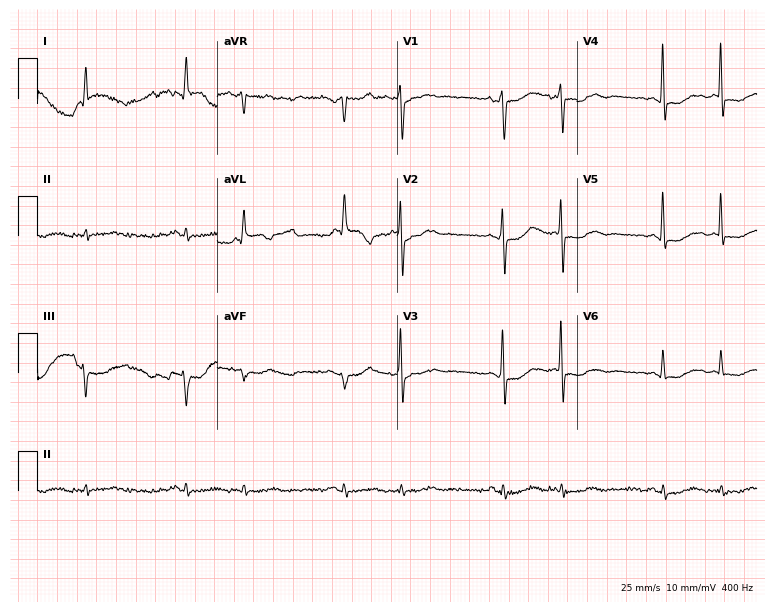
Resting 12-lead electrocardiogram. Patient: an 81-year-old woman. None of these six findings is recorded: first-degree AV block, right bundle branch block, left bundle branch block, sinus bradycardia, atrial fibrillation, sinus tachycardia.